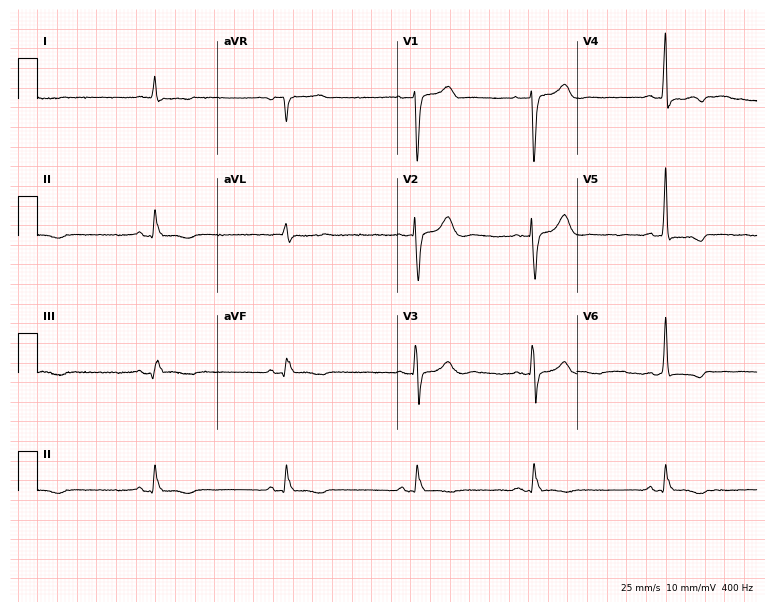
Resting 12-lead electrocardiogram. Patient: a female, 78 years old. None of these six findings is recorded: first-degree AV block, right bundle branch block, left bundle branch block, sinus bradycardia, atrial fibrillation, sinus tachycardia.